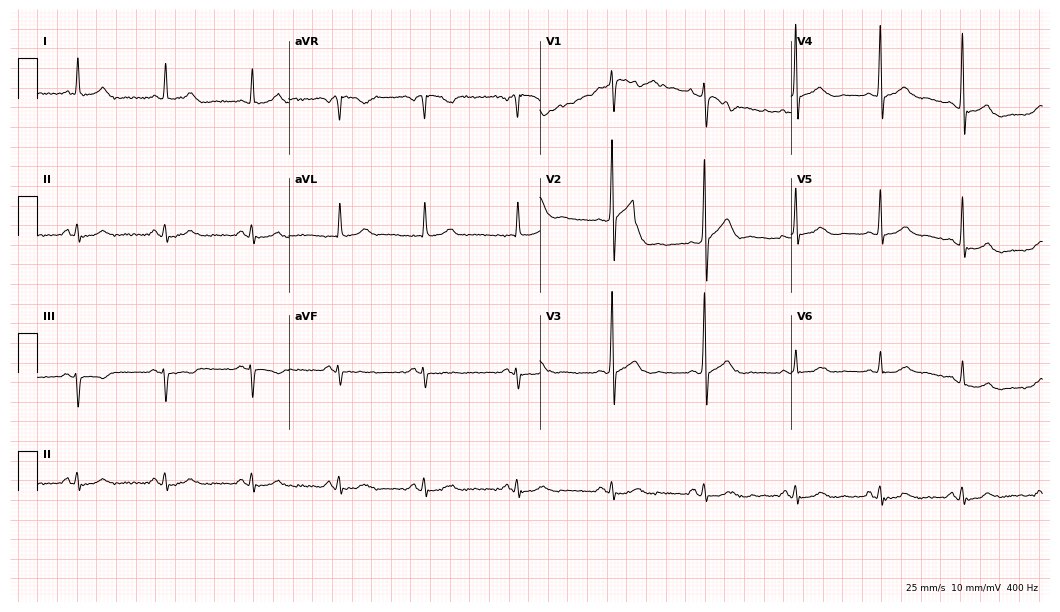
Standard 12-lead ECG recorded from a male, 66 years old (10.2-second recording at 400 Hz). Read as a normal ECG.